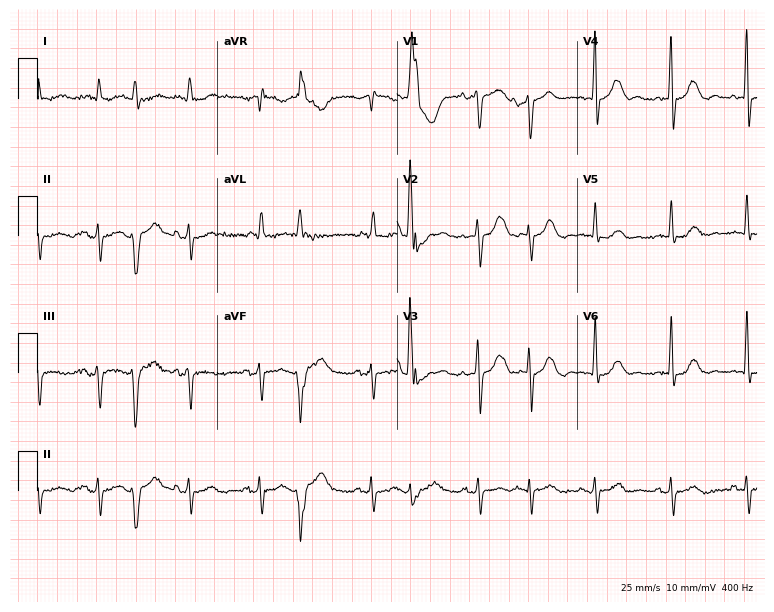
Electrocardiogram, a 77-year-old male patient. Of the six screened findings (first-degree AV block, right bundle branch block, left bundle branch block, sinus bradycardia, atrial fibrillation, sinus tachycardia), none is recorded. Only these six findings were labelled.